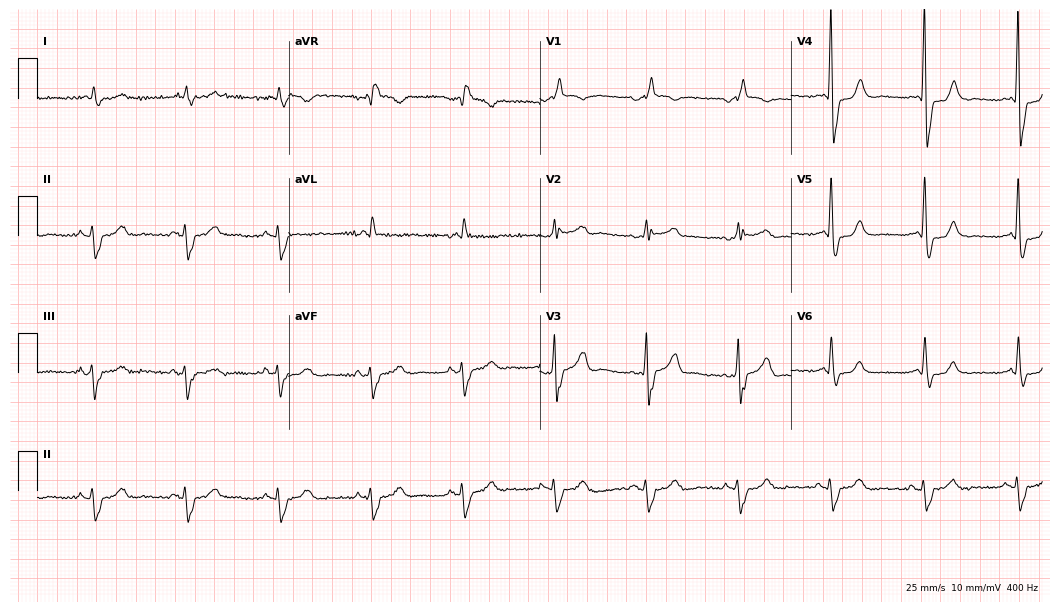
12-lead ECG from an 80-year-old male patient. Shows right bundle branch block (RBBB).